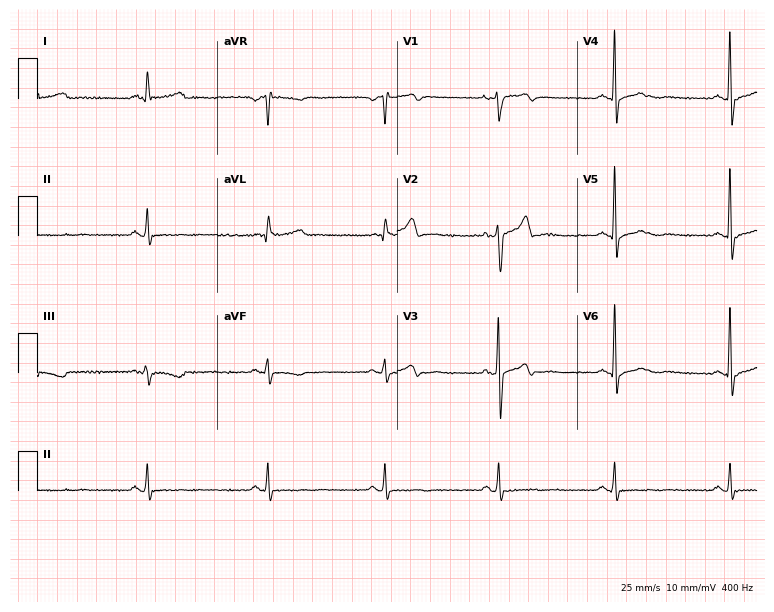
12-lead ECG (7.3-second recording at 400 Hz) from a man, 50 years old. Findings include sinus bradycardia (a sinus rate of 50 beats per minute or less).